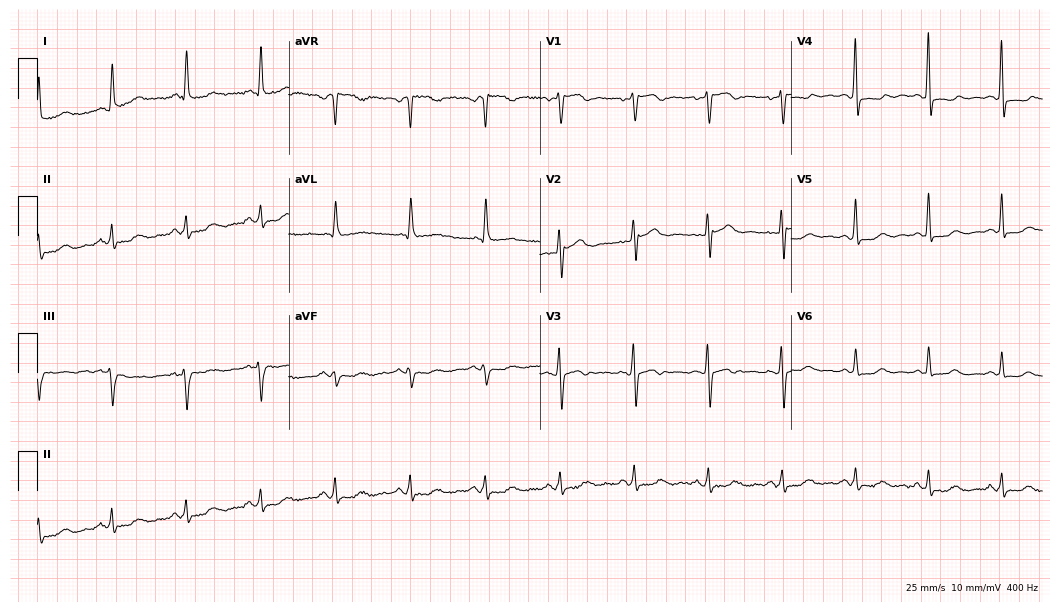
Electrocardiogram (10.2-second recording at 400 Hz), a female patient, 59 years old. Of the six screened findings (first-degree AV block, right bundle branch block, left bundle branch block, sinus bradycardia, atrial fibrillation, sinus tachycardia), none is recorded.